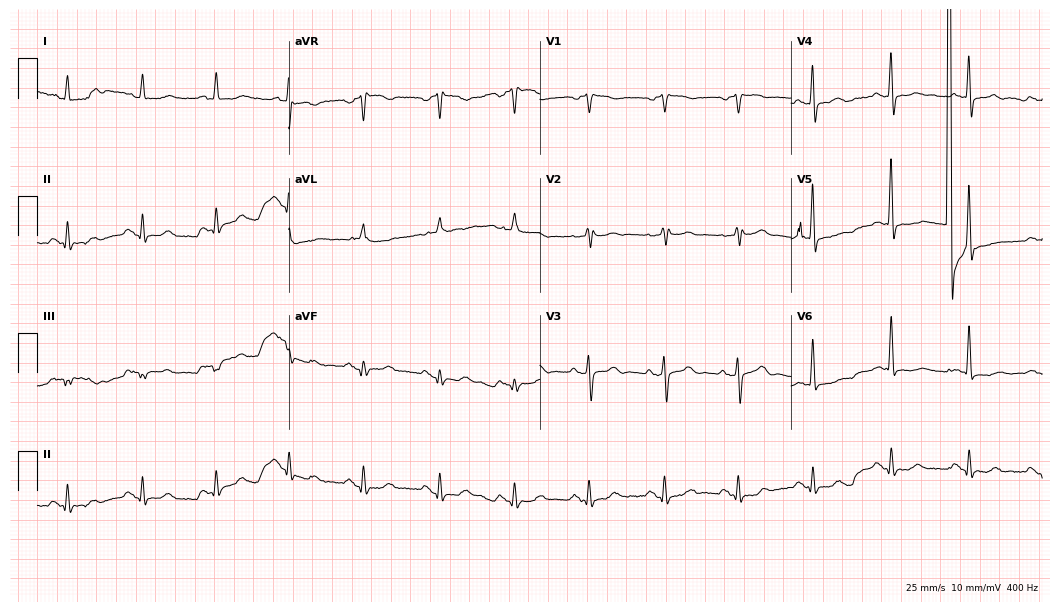
Resting 12-lead electrocardiogram. Patient: a man, 81 years old. None of these six findings is recorded: first-degree AV block, right bundle branch block, left bundle branch block, sinus bradycardia, atrial fibrillation, sinus tachycardia. Only these six findings were labelled.